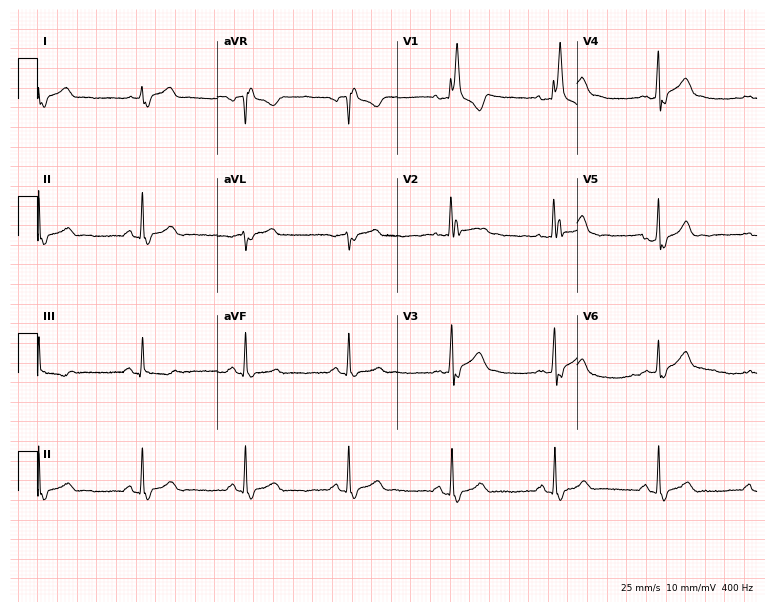
12-lead ECG from a 51-year-old man. Findings include right bundle branch block.